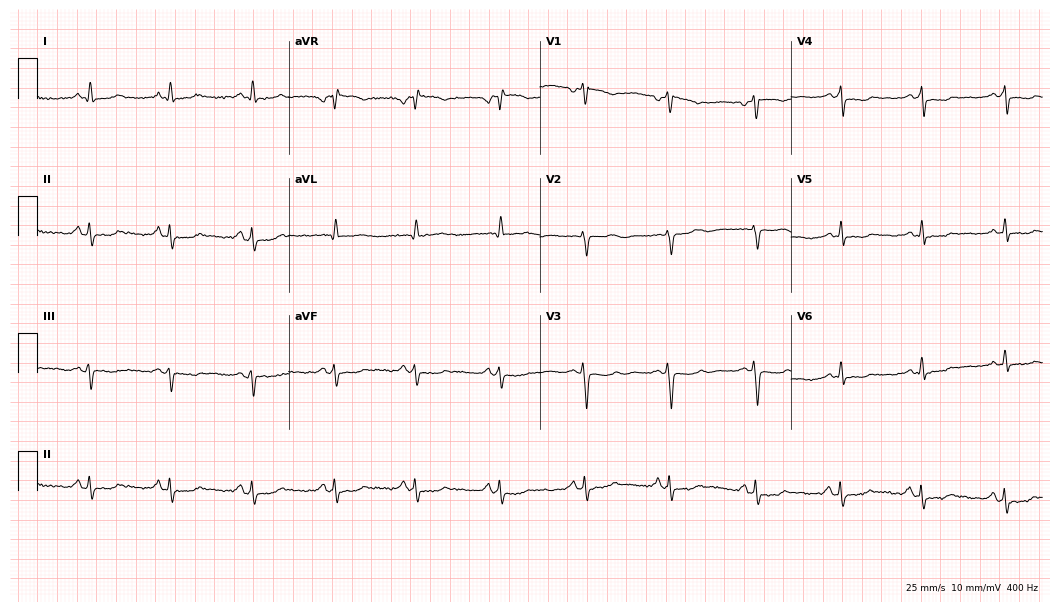
12-lead ECG from a female, 57 years old. No first-degree AV block, right bundle branch block, left bundle branch block, sinus bradycardia, atrial fibrillation or sinus tachycardia recorded for this tracing.